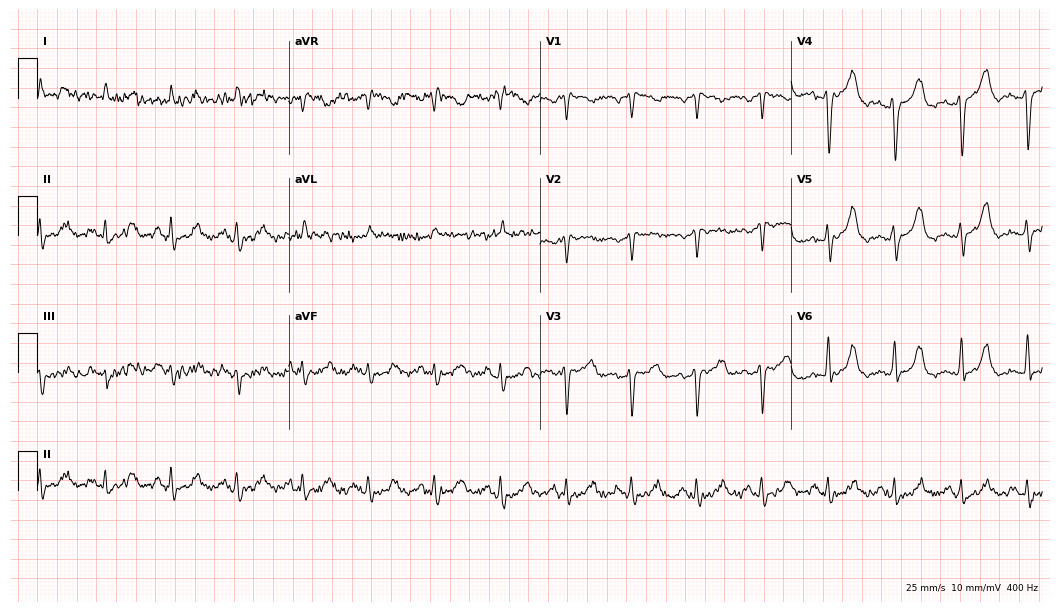
Resting 12-lead electrocardiogram (10.2-second recording at 400 Hz). Patient: a 75-year-old male. None of these six findings is recorded: first-degree AV block, right bundle branch block (RBBB), left bundle branch block (LBBB), sinus bradycardia, atrial fibrillation (AF), sinus tachycardia. Only these six findings were labelled.